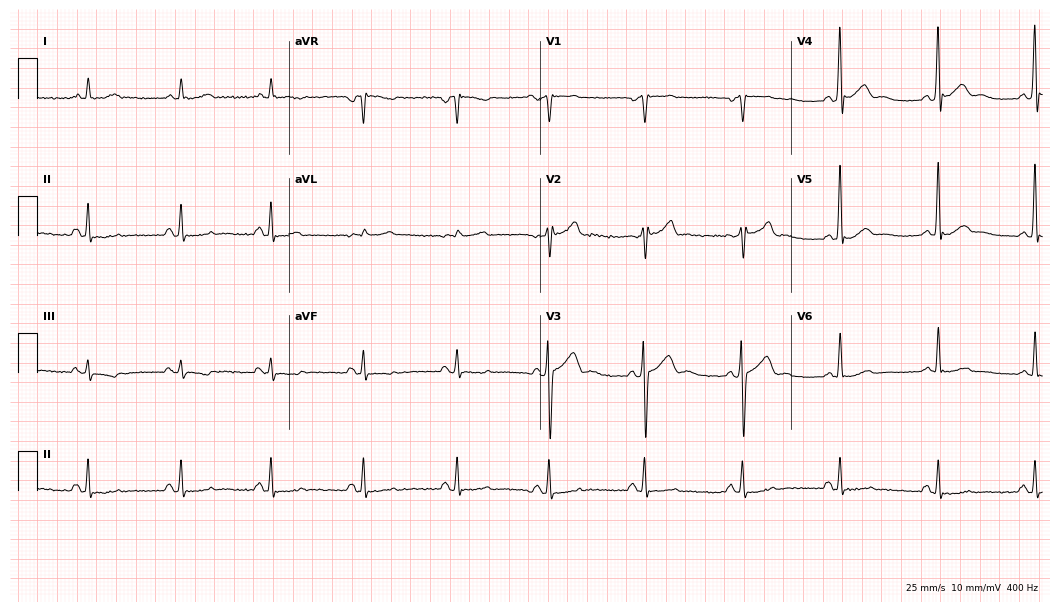
ECG (10.2-second recording at 400 Hz) — a 60-year-old man. Labelled as a normal ECG.